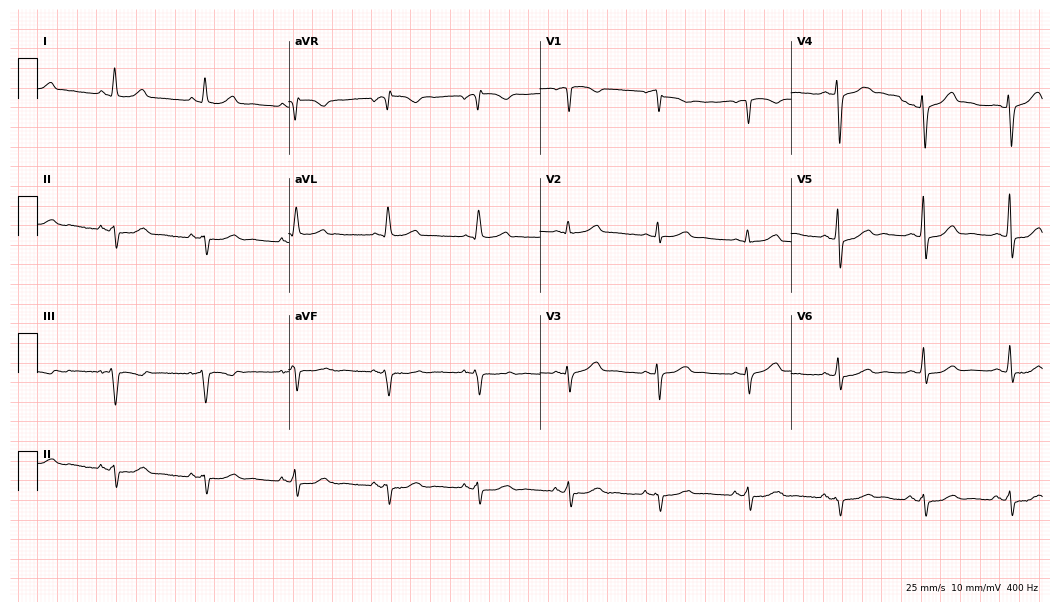
ECG (10.2-second recording at 400 Hz) — a 62-year-old female. Findings include left bundle branch block.